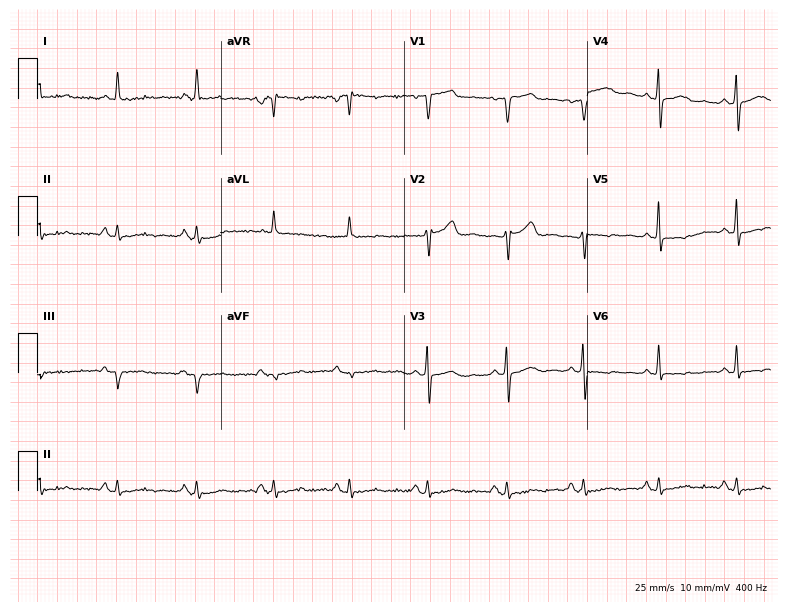
12-lead ECG (7.5-second recording at 400 Hz) from a female, 44 years old. Screened for six findings — first-degree AV block, right bundle branch block, left bundle branch block, sinus bradycardia, atrial fibrillation, sinus tachycardia — none is recorded.